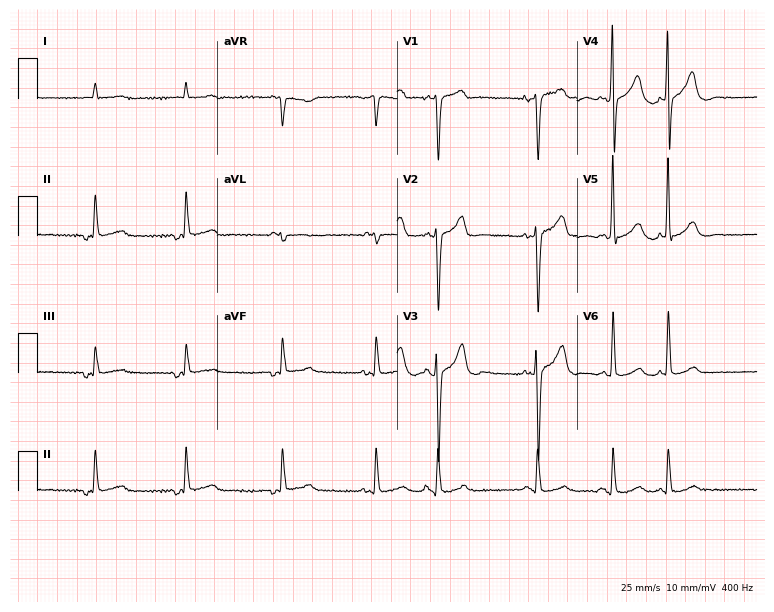
Electrocardiogram (7.3-second recording at 400 Hz), a male, 76 years old. Overall reading on record: normal ECG.